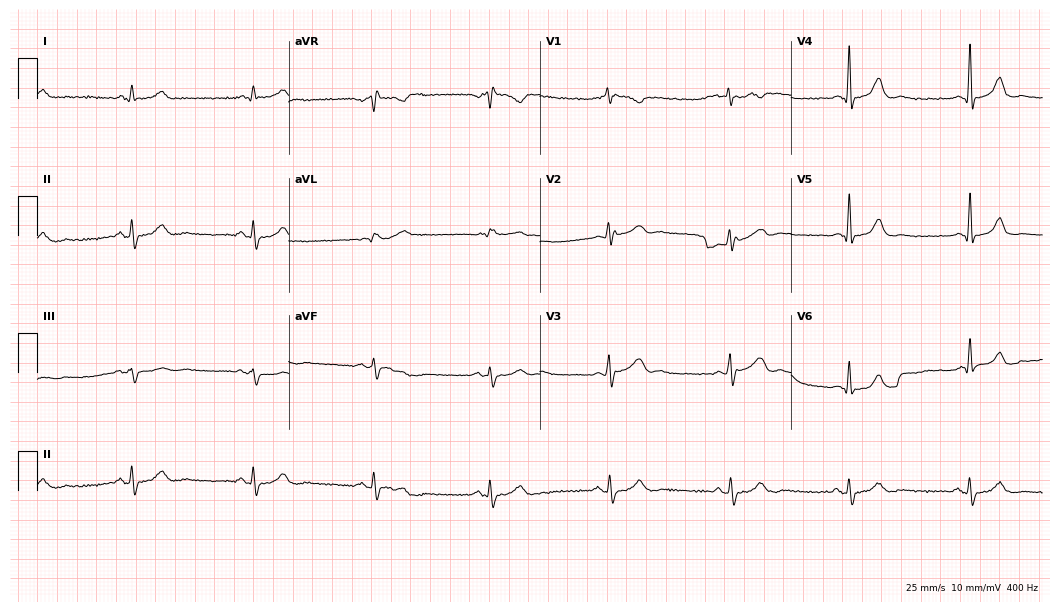
ECG — a 40-year-old male patient. Screened for six findings — first-degree AV block, right bundle branch block (RBBB), left bundle branch block (LBBB), sinus bradycardia, atrial fibrillation (AF), sinus tachycardia — none is recorded. Only these six findings were labelled.